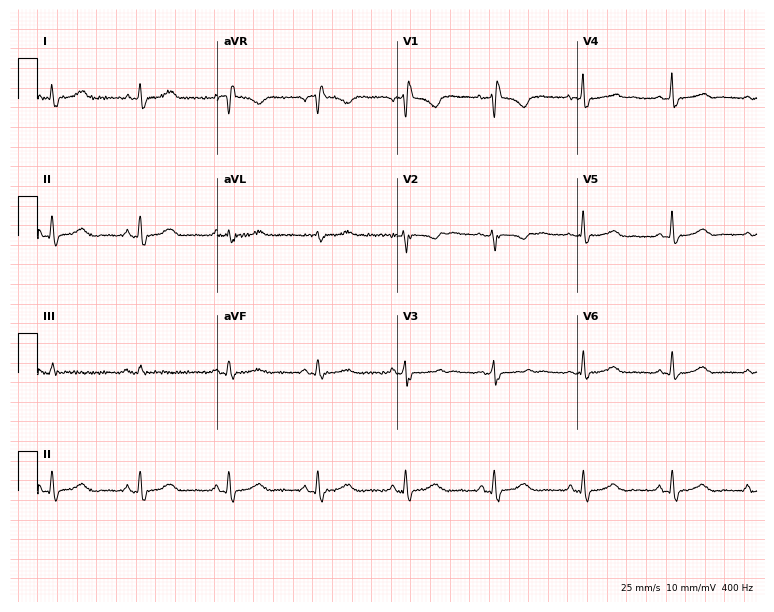
12-lead ECG from a woman, 41 years old (7.3-second recording at 400 Hz). No first-degree AV block, right bundle branch block (RBBB), left bundle branch block (LBBB), sinus bradycardia, atrial fibrillation (AF) or sinus tachycardia recorded for this tracing.